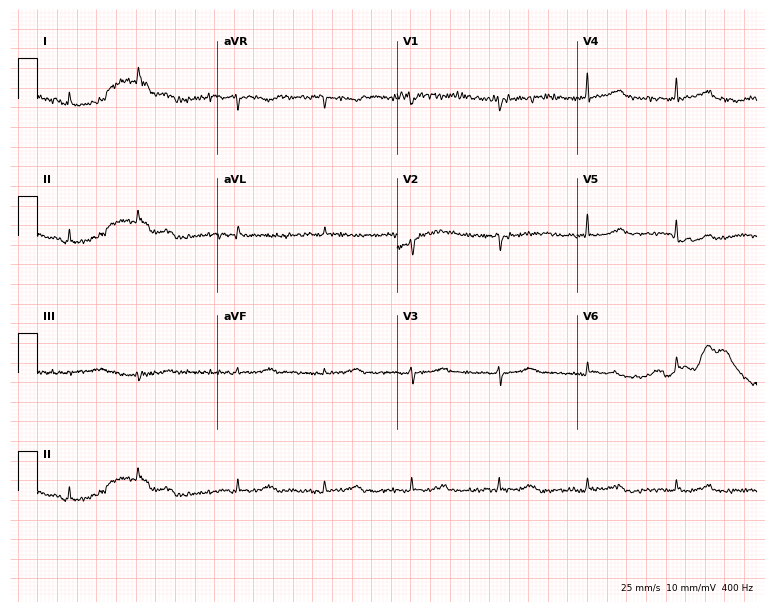
Resting 12-lead electrocardiogram. Patient: a 72-year-old female. None of these six findings is recorded: first-degree AV block, right bundle branch block, left bundle branch block, sinus bradycardia, atrial fibrillation, sinus tachycardia. Findings outside these six are not listed.